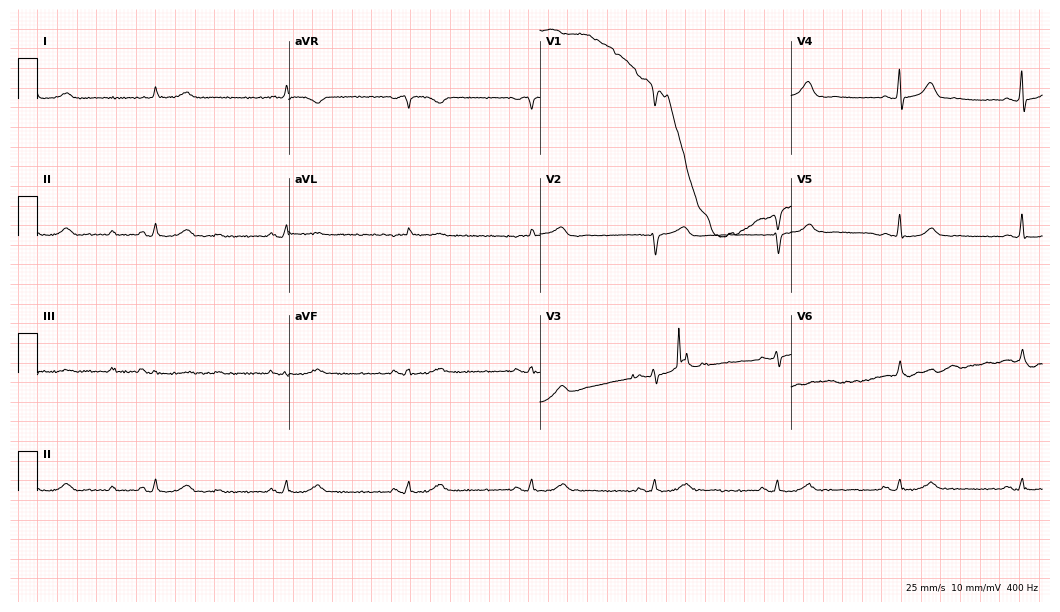
Resting 12-lead electrocardiogram. Patient: an 83-year-old man. The tracing shows sinus bradycardia (a sinus rate of 50 beats per minute or less).